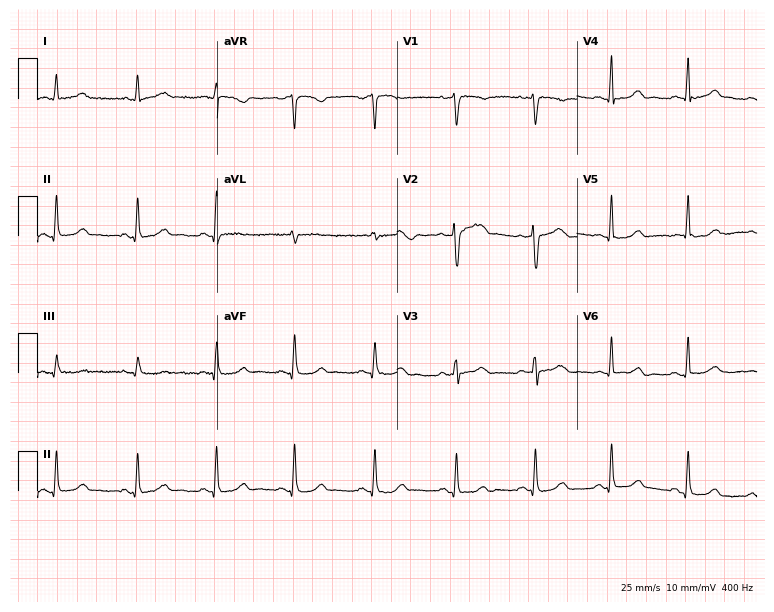
Resting 12-lead electrocardiogram. Patient: a female, 39 years old. Read as a normal ECG.